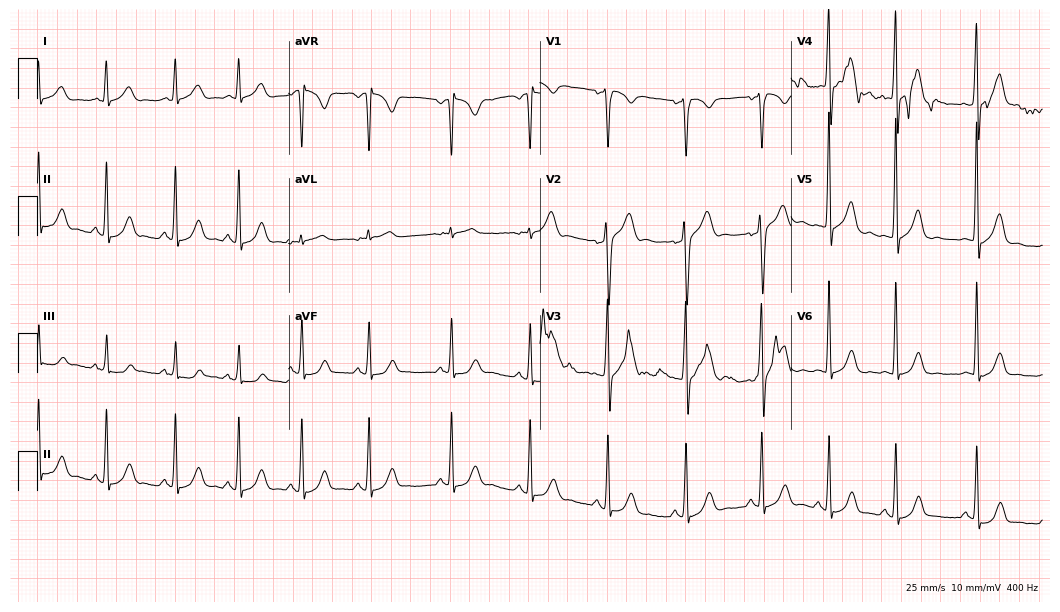
Electrocardiogram (10.2-second recording at 400 Hz), a 36-year-old man. Of the six screened findings (first-degree AV block, right bundle branch block, left bundle branch block, sinus bradycardia, atrial fibrillation, sinus tachycardia), none is recorded. Other findings, if any, are not listed.